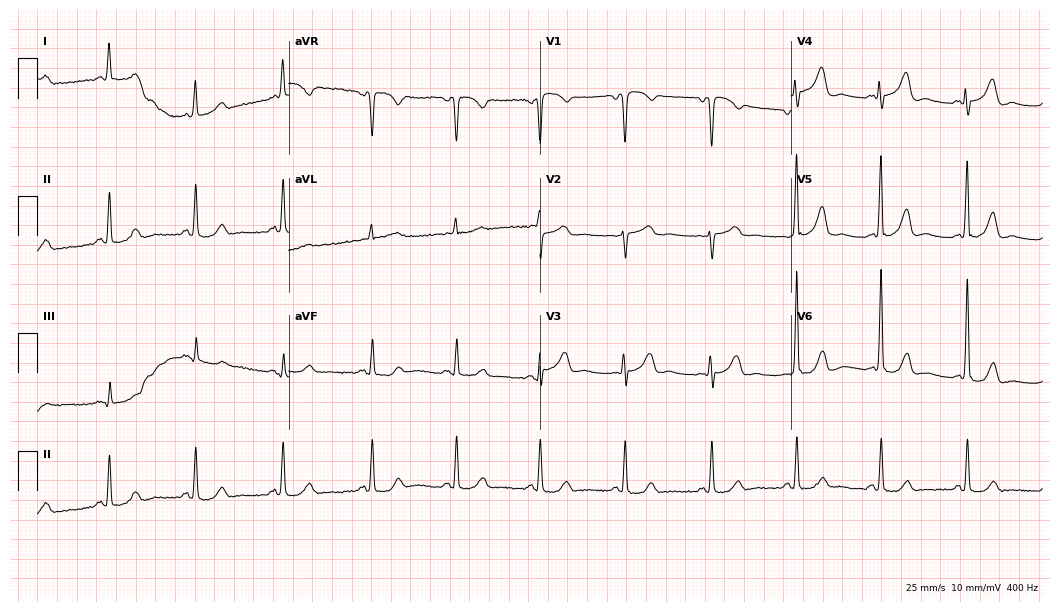
12-lead ECG from an 82-year-old female. Recorded interpretation: within normal limits.